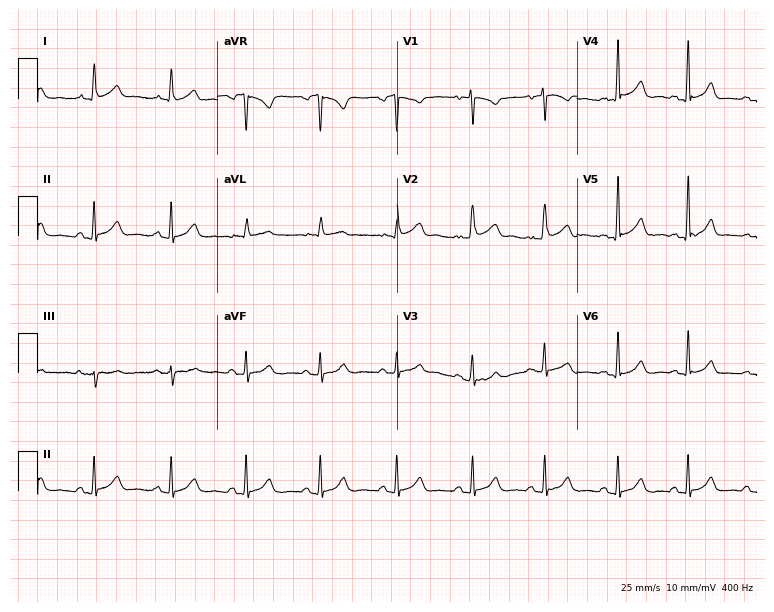
Standard 12-lead ECG recorded from a woman, 29 years old. Read as a normal ECG.